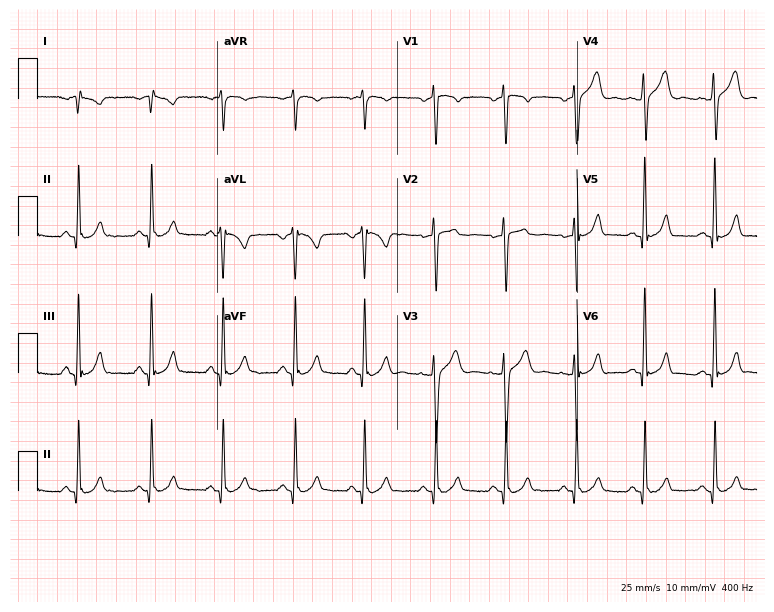
Resting 12-lead electrocardiogram. Patient: a man, 41 years old. None of these six findings is recorded: first-degree AV block, right bundle branch block, left bundle branch block, sinus bradycardia, atrial fibrillation, sinus tachycardia.